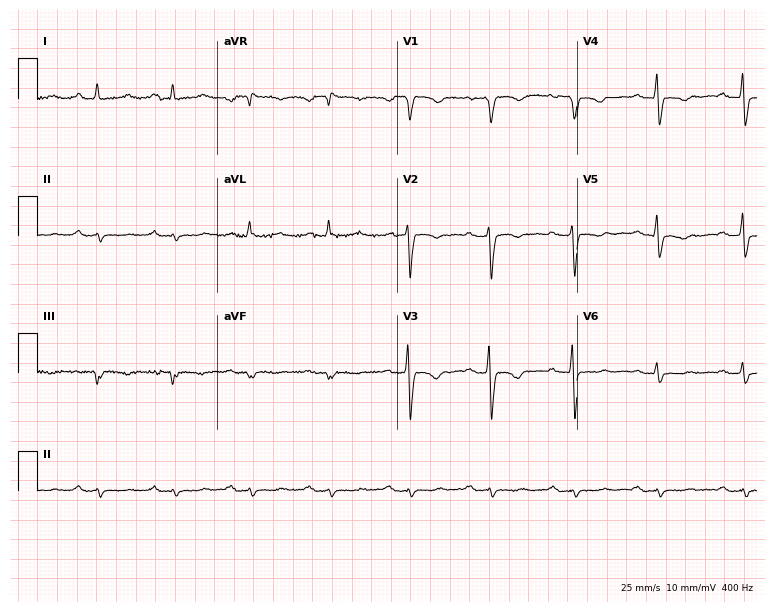
Electrocardiogram (7.3-second recording at 400 Hz), a female, 62 years old. Interpretation includes first-degree AV block.